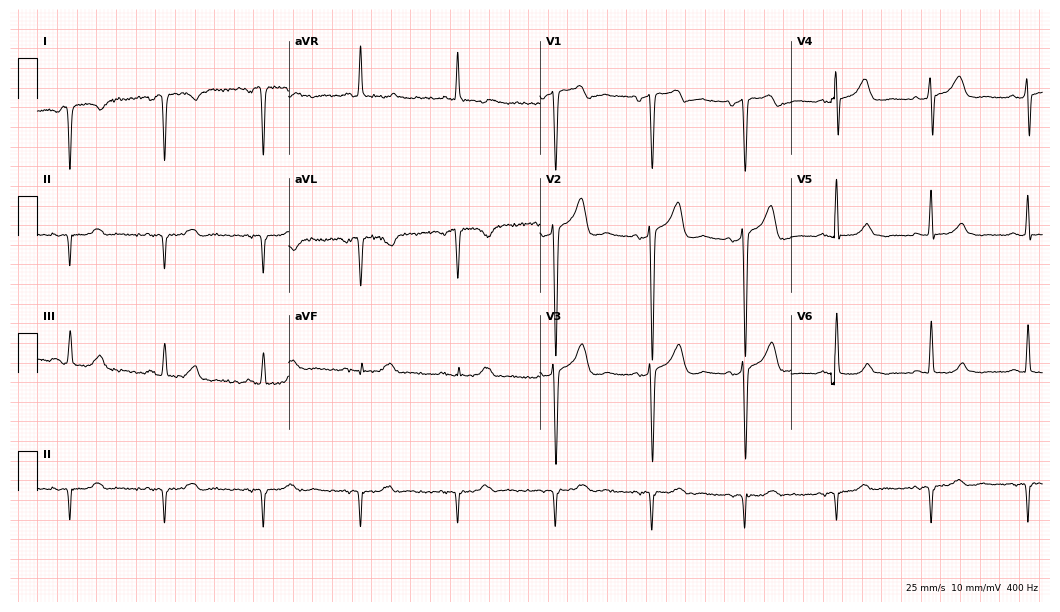
Electrocardiogram, a 50-year-old woman. Of the six screened findings (first-degree AV block, right bundle branch block, left bundle branch block, sinus bradycardia, atrial fibrillation, sinus tachycardia), none is recorded. Findings outside these six are not listed.